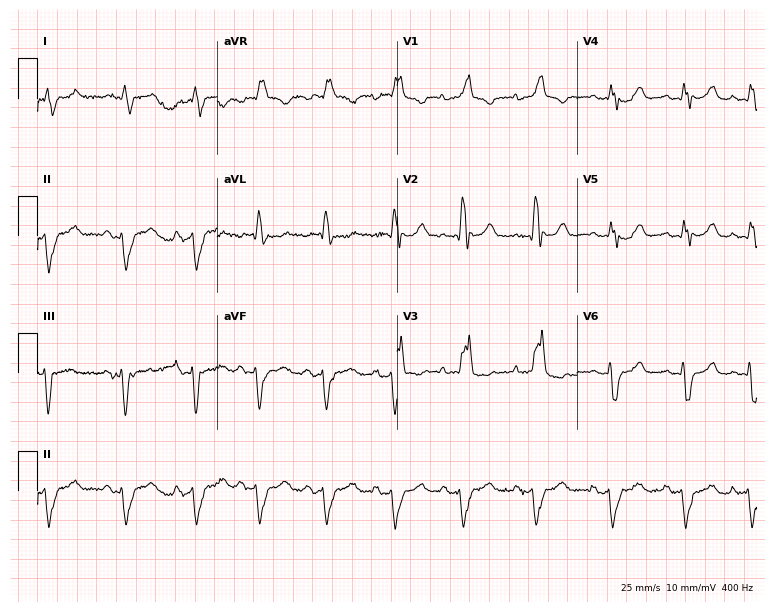
12-lead ECG from a female patient, 78 years old. Findings include right bundle branch block (RBBB).